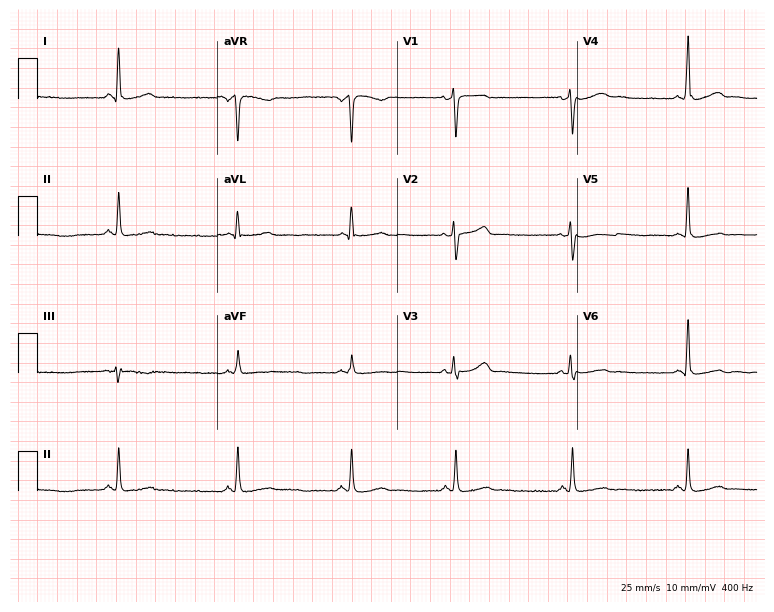
Electrocardiogram, a 58-year-old woman. Of the six screened findings (first-degree AV block, right bundle branch block, left bundle branch block, sinus bradycardia, atrial fibrillation, sinus tachycardia), none is recorded. Other findings, if any, are not listed.